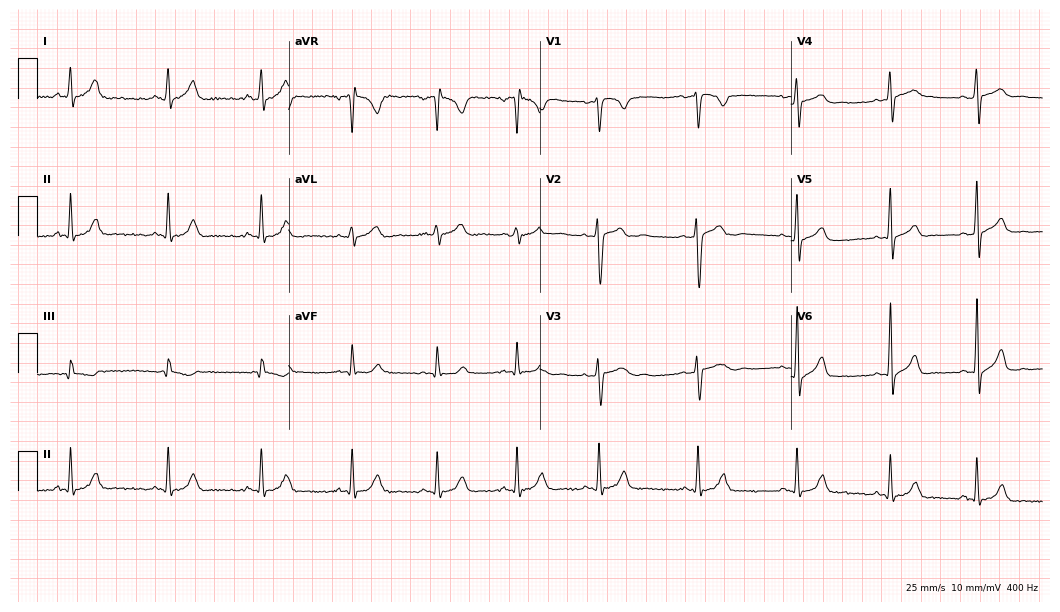
12-lead ECG from a 19-year-old male. Labelled as a normal ECG.